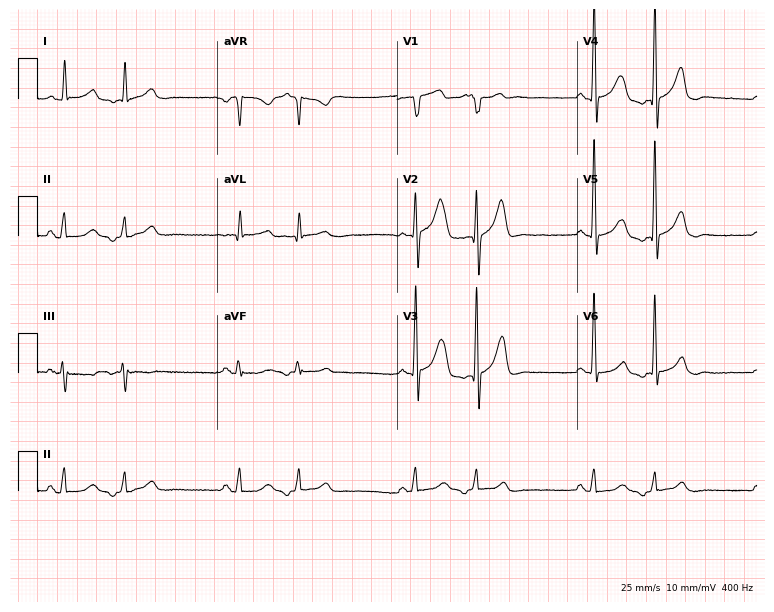
Resting 12-lead electrocardiogram. Patient: a male, 63 years old. Read as a normal ECG.